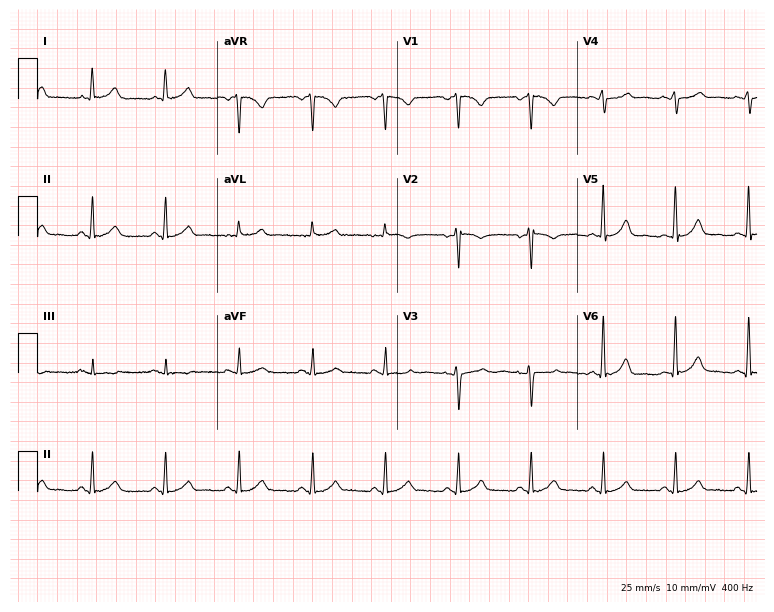
12-lead ECG from a 42-year-old woman. Labelled as a normal ECG.